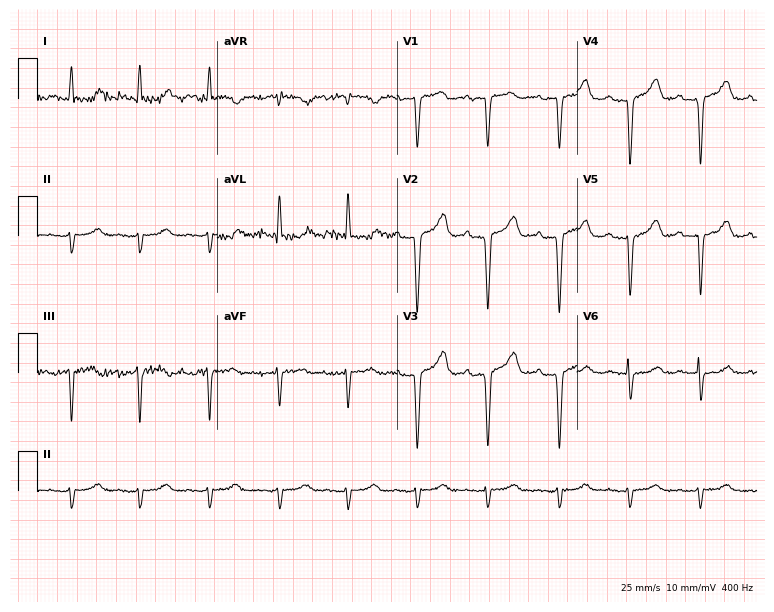
Electrocardiogram, a 67-year-old man. Of the six screened findings (first-degree AV block, right bundle branch block, left bundle branch block, sinus bradycardia, atrial fibrillation, sinus tachycardia), none is recorded.